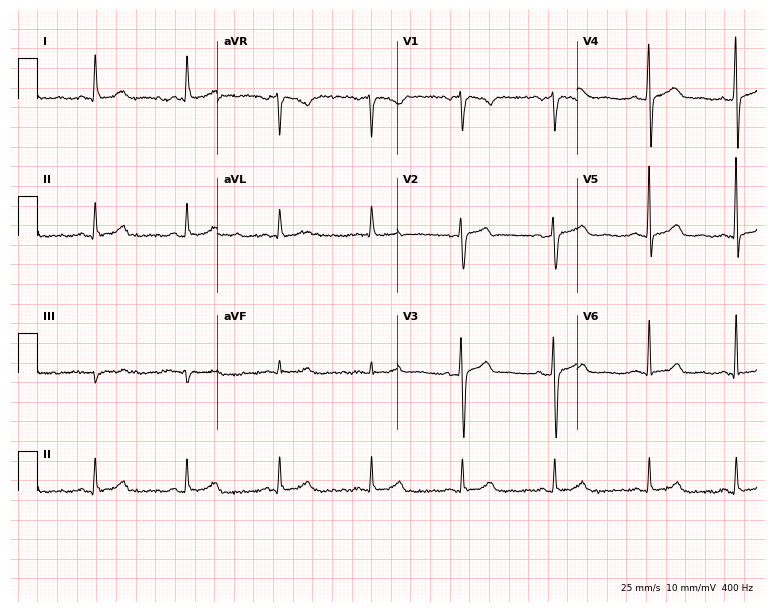
Standard 12-lead ECG recorded from a female, 46 years old. Read as a normal ECG.